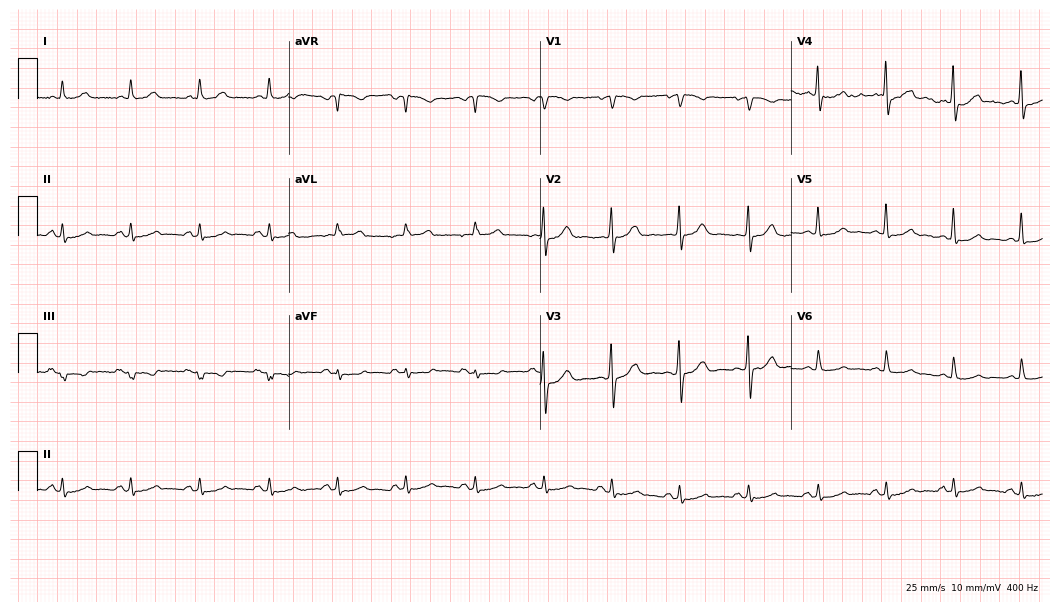
ECG (10.2-second recording at 400 Hz) — a 61-year-old woman. Labelled as a normal ECG.